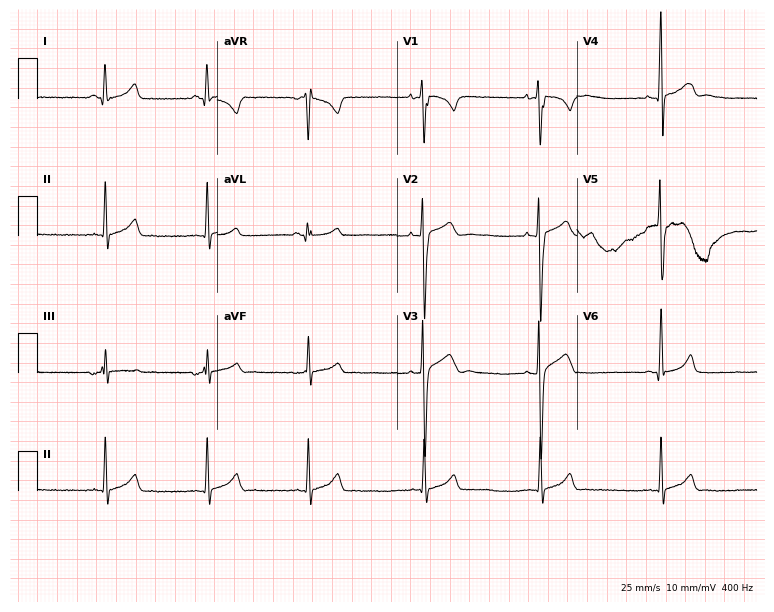
Resting 12-lead electrocardiogram. Patient: an 18-year-old male. Read as a normal ECG.